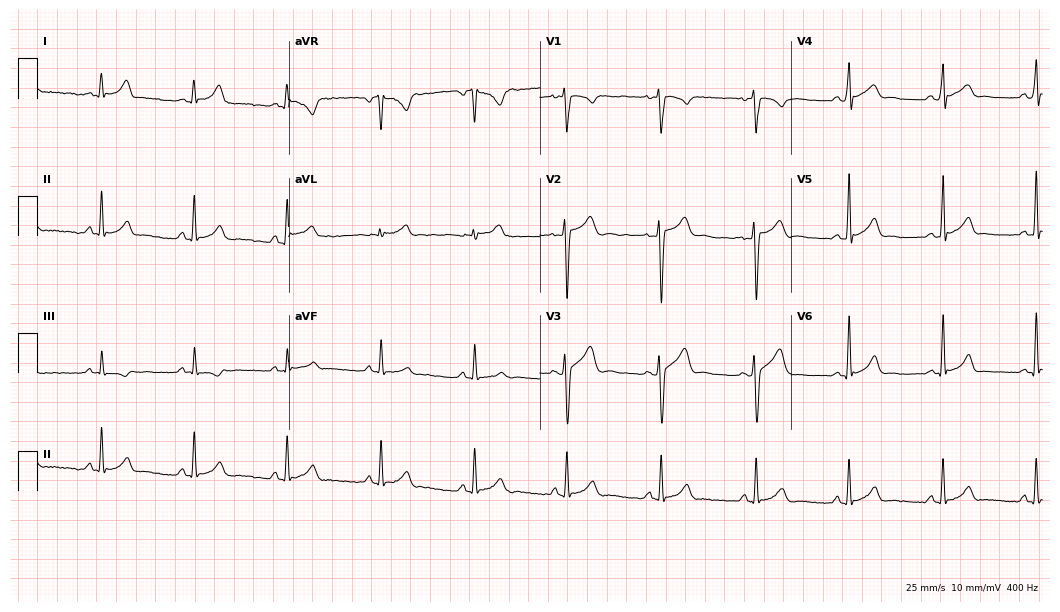
Electrocardiogram, a 26-year-old male. Overall reading on record: normal ECG.